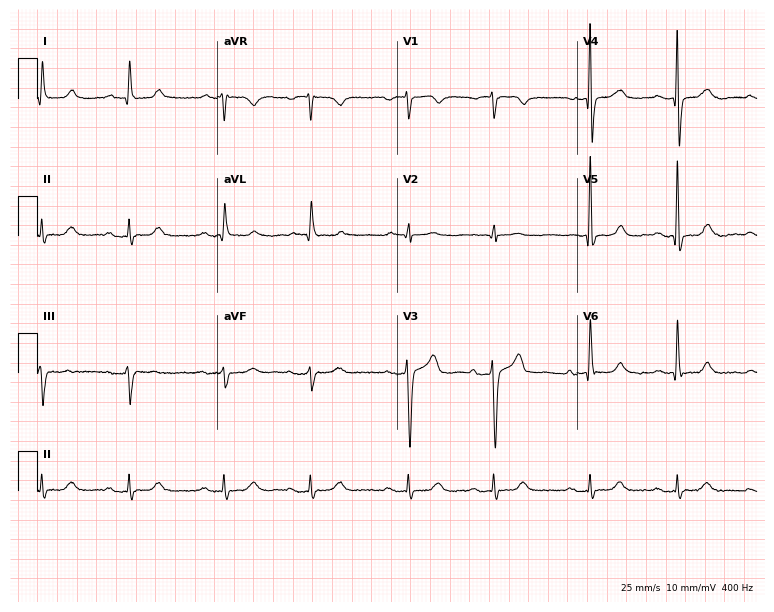
12-lead ECG from an 84-year-old male. No first-degree AV block, right bundle branch block, left bundle branch block, sinus bradycardia, atrial fibrillation or sinus tachycardia recorded for this tracing. Findings outside these six are not listed.